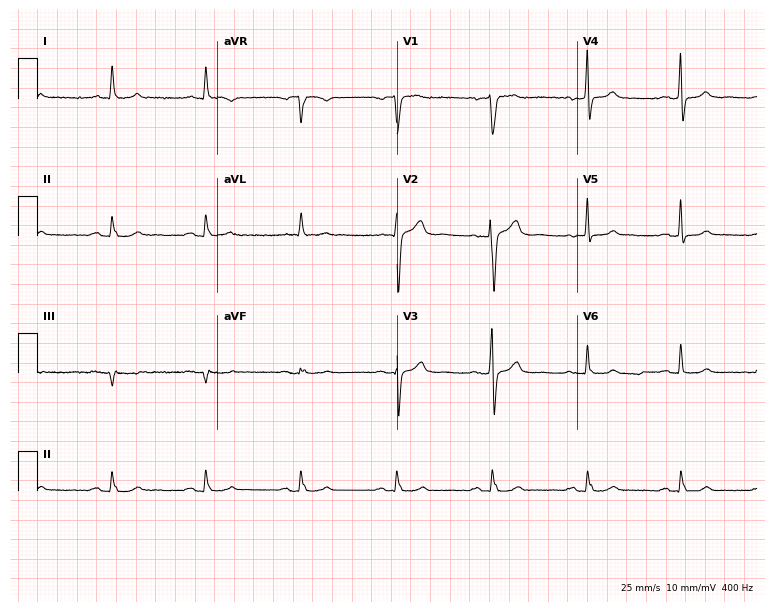
12-lead ECG from a female, 51 years old. Labelled as a normal ECG.